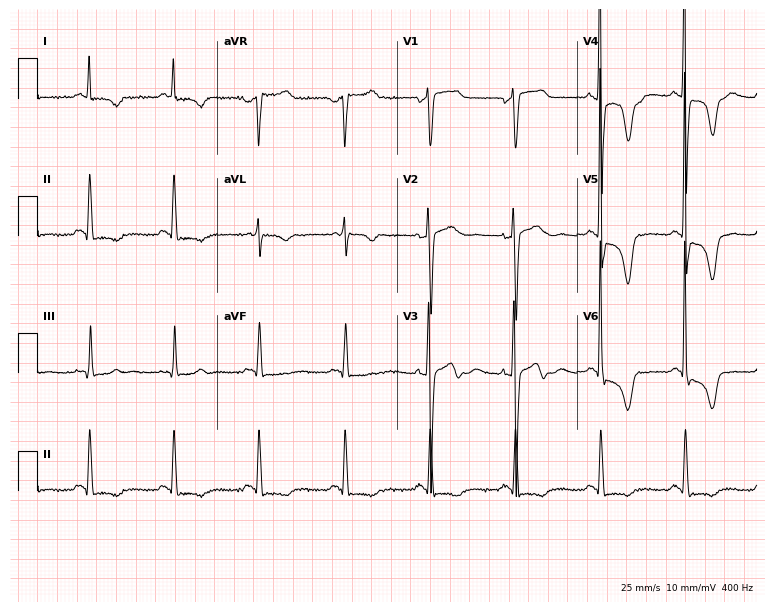
ECG (7.3-second recording at 400 Hz) — an 80-year-old male patient. Screened for six findings — first-degree AV block, right bundle branch block, left bundle branch block, sinus bradycardia, atrial fibrillation, sinus tachycardia — none is recorded.